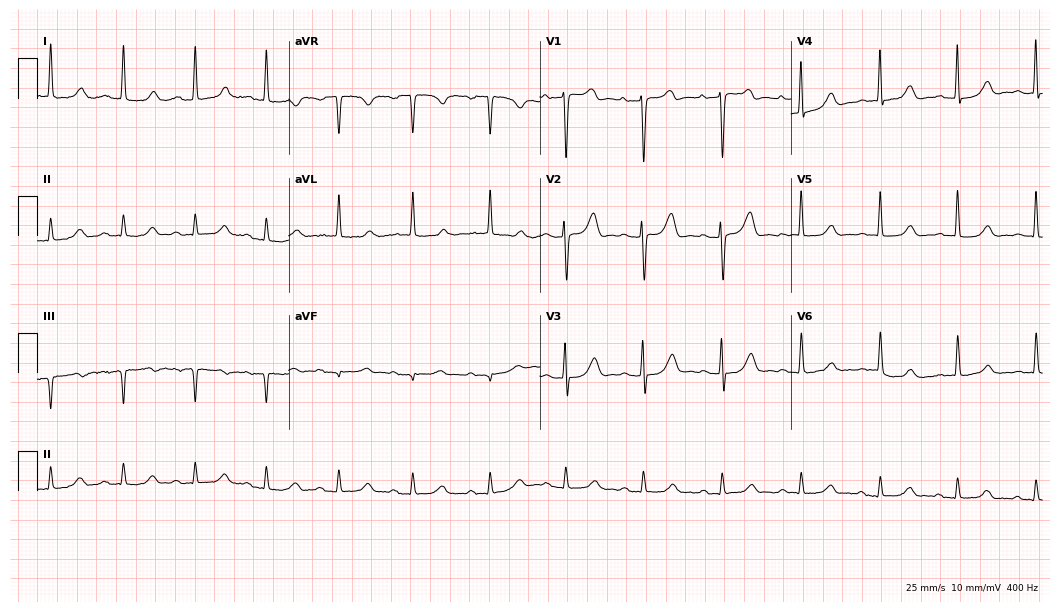
12-lead ECG (10.2-second recording at 400 Hz) from a female, 79 years old. Findings include first-degree AV block.